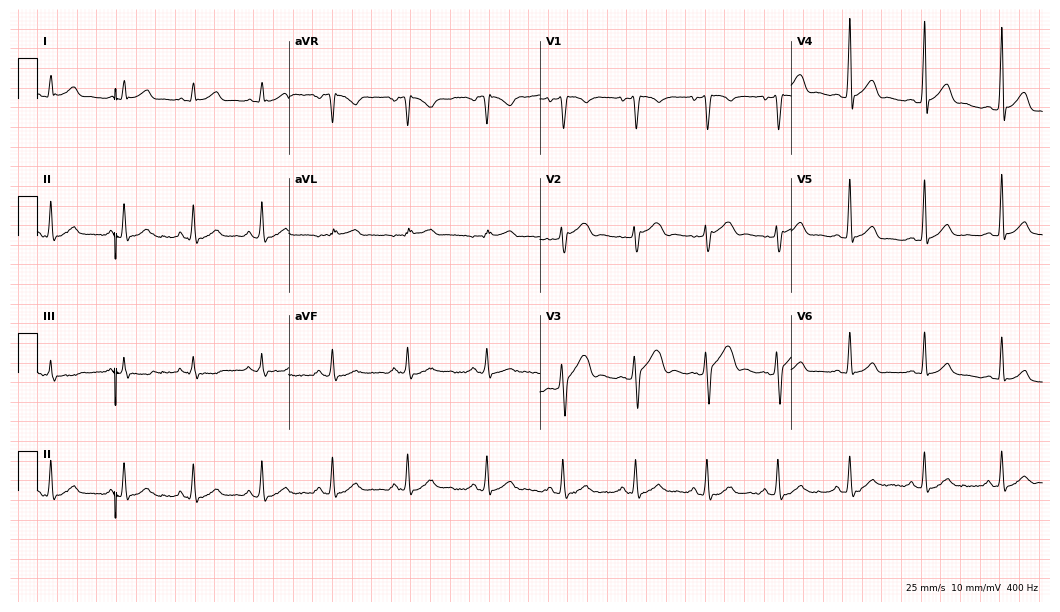
Resting 12-lead electrocardiogram (10.2-second recording at 400 Hz). Patient: a 21-year-old male. Read as a normal ECG.